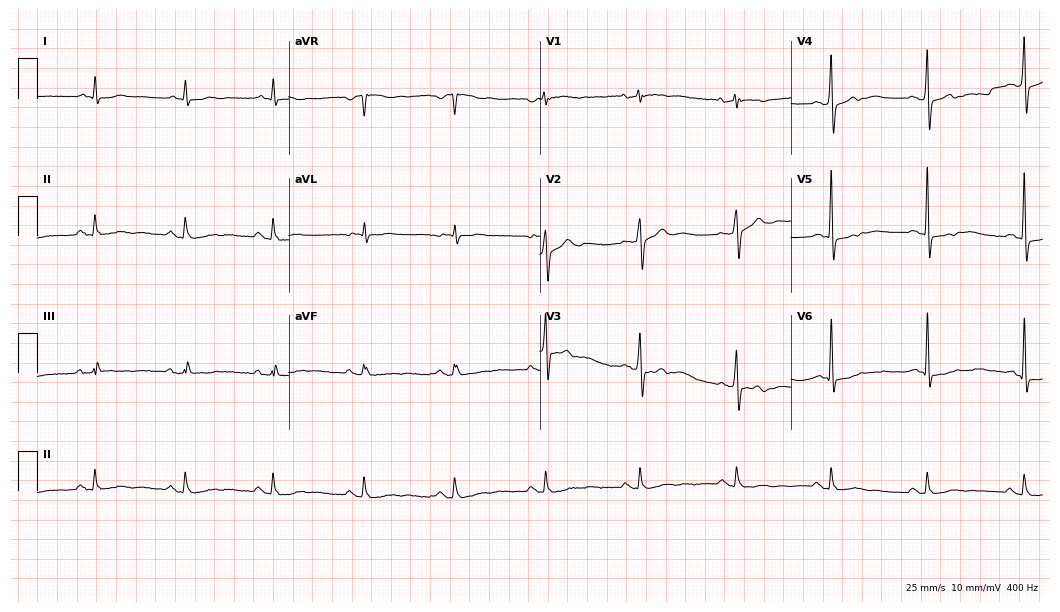
ECG — a 75-year-old man. Screened for six findings — first-degree AV block, right bundle branch block (RBBB), left bundle branch block (LBBB), sinus bradycardia, atrial fibrillation (AF), sinus tachycardia — none is recorded. Findings outside these six are not listed.